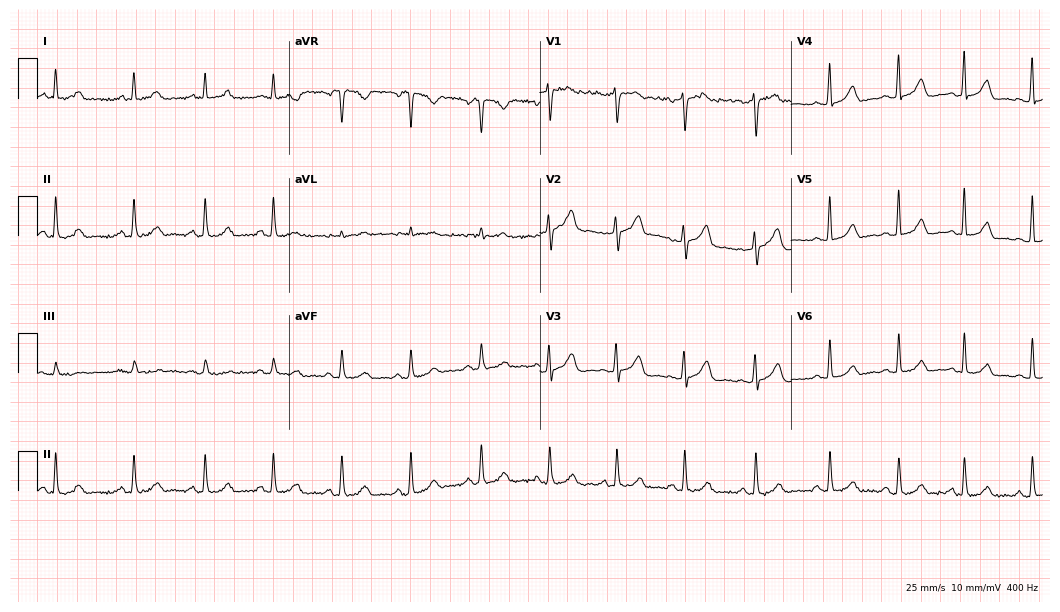
12-lead ECG from a woman, 37 years old. Labelled as a normal ECG.